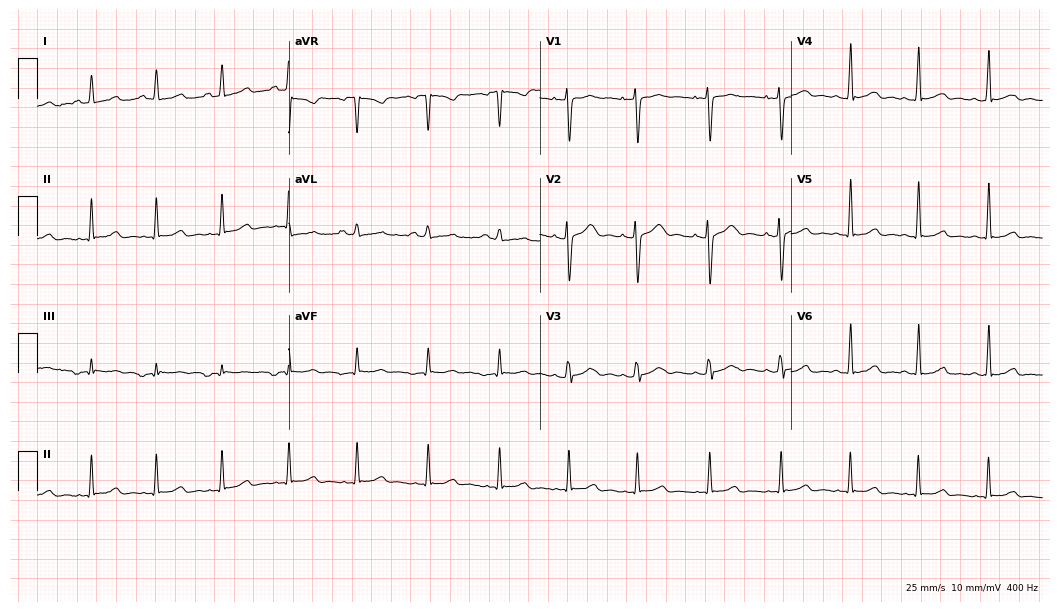
Resting 12-lead electrocardiogram (10.2-second recording at 400 Hz). Patient: a 26-year-old woman. Read as a normal ECG.